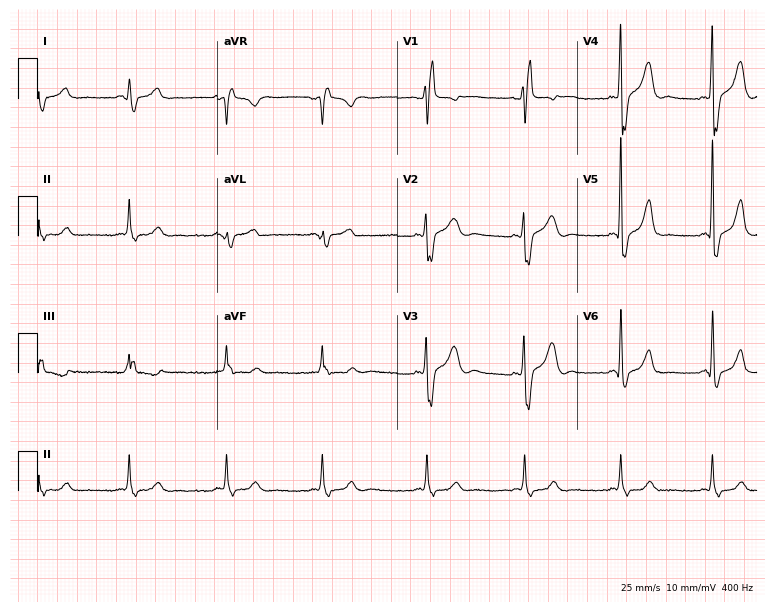
ECG (7.3-second recording at 400 Hz) — a man, 22 years old. Findings include right bundle branch block.